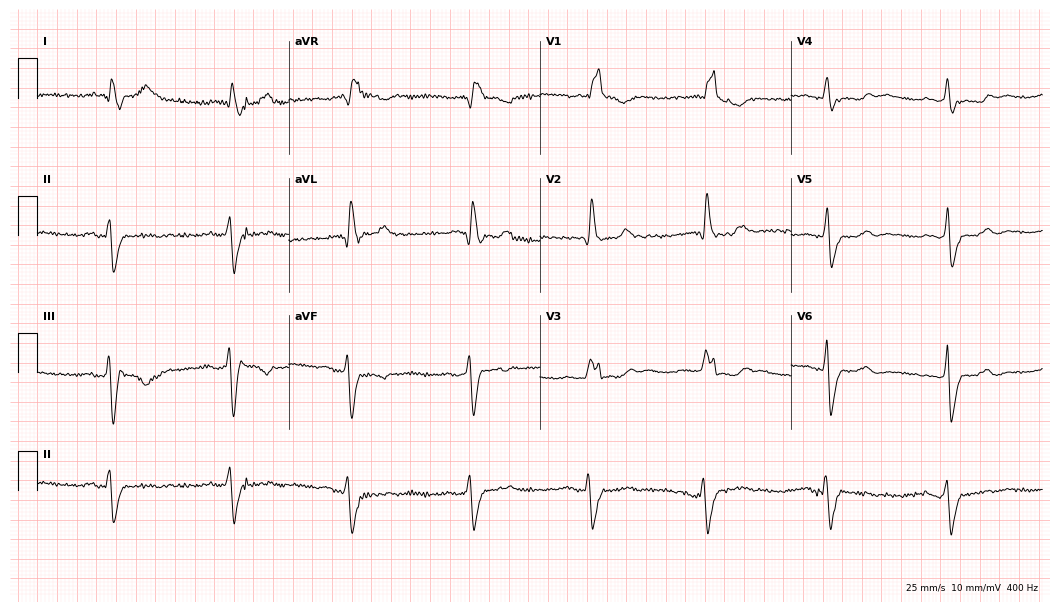
Electrocardiogram, an 85-year-old man. Of the six screened findings (first-degree AV block, right bundle branch block (RBBB), left bundle branch block (LBBB), sinus bradycardia, atrial fibrillation (AF), sinus tachycardia), none is recorded.